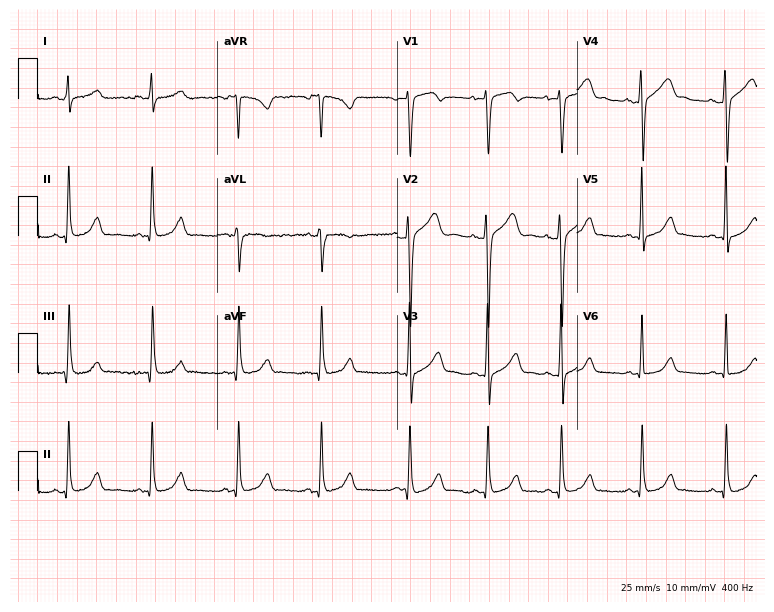
12-lead ECG from a 22-year-old female patient (7.3-second recording at 400 Hz). Recorded interpretation: within normal limits.